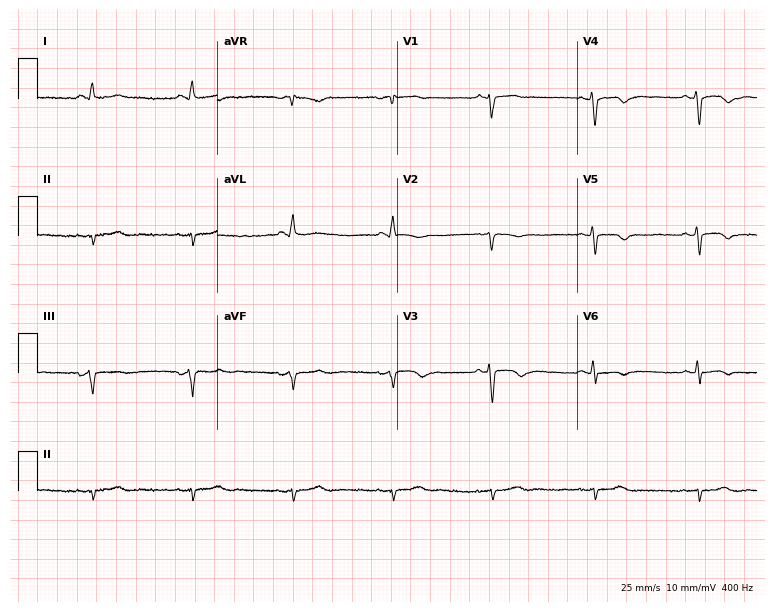
Standard 12-lead ECG recorded from a man, 58 years old. None of these six findings is recorded: first-degree AV block, right bundle branch block, left bundle branch block, sinus bradycardia, atrial fibrillation, sinus tachycardia.